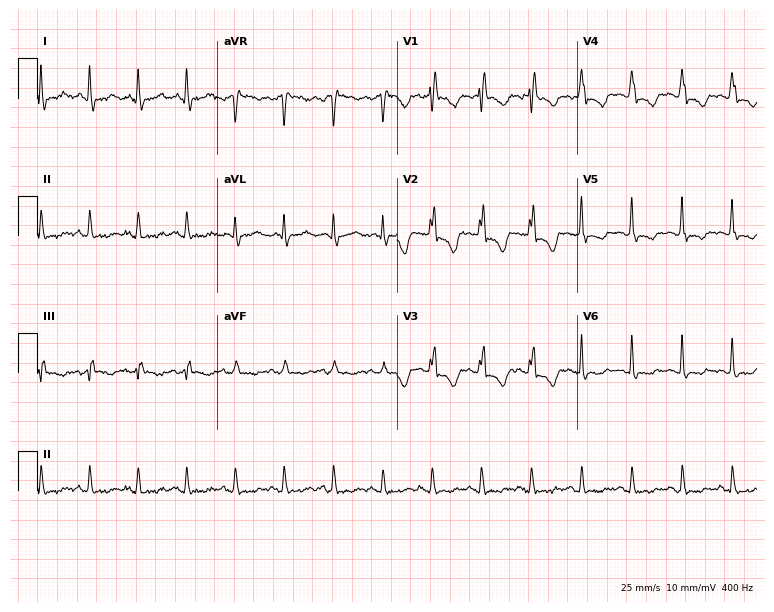
Electrocardiogram (7.3-second recording at 400 Hz), a male, 40 years old. Interpretation includes sinus tachycardia (a sinus rate of 100 beats per minute or more).